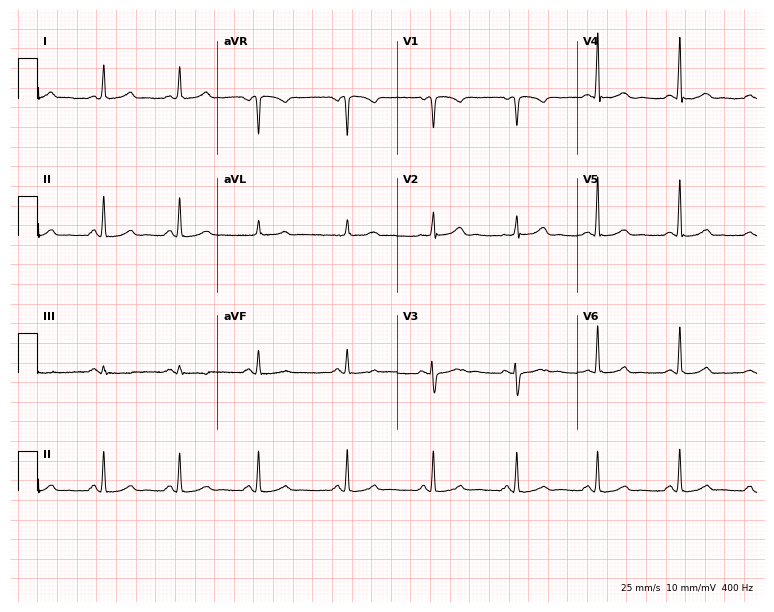
Resting 12-lead electrocardiogram (7.3-second recording at 400 Hz). Patient: a 37-year-old female. Read as a normal ECG.